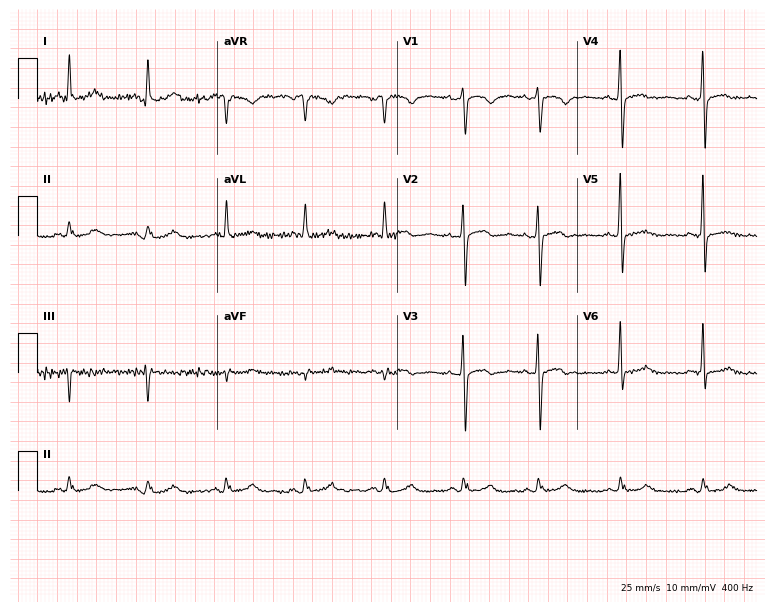
12-lead ECG from a 64-year-old female patient. No first-degree AV block, right bundle branch block, left bundle branch block, sinus bradycardia, atrial fibrillation or sinus tachycardia recorded for this tracing. Only these six findings were labelled.